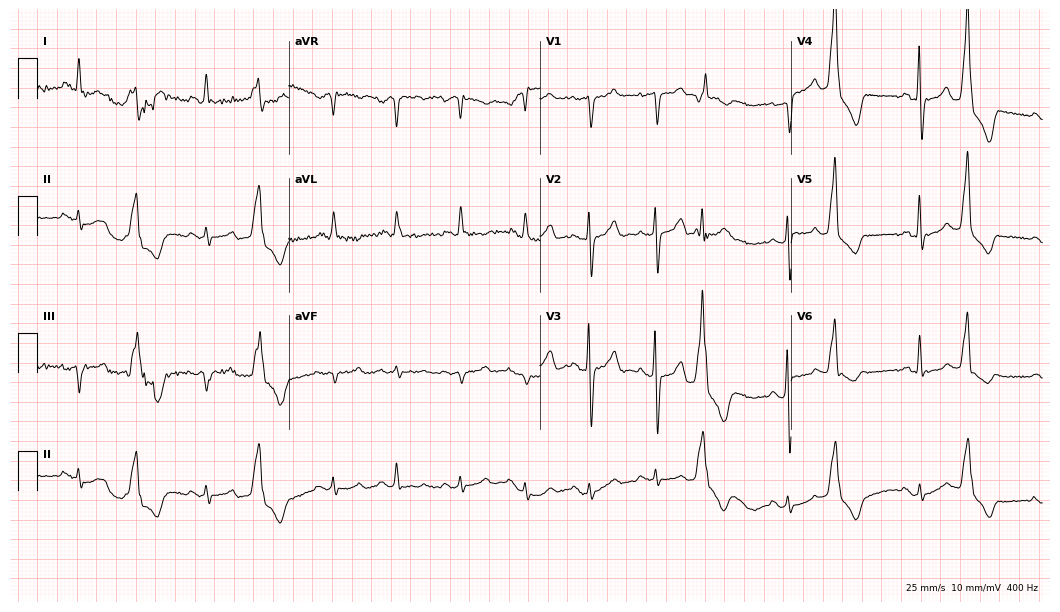
Electrocardiogram (10.2-second recording at 400 Hz), a 73-year-old man. Of the six screened findings (first-degree AV block, right bundle branch block (RBBB), left bundle branch block (LBBB), sinus bradycardia, atrial fibrillation (AF), sinus tachycardia), none is recorded.